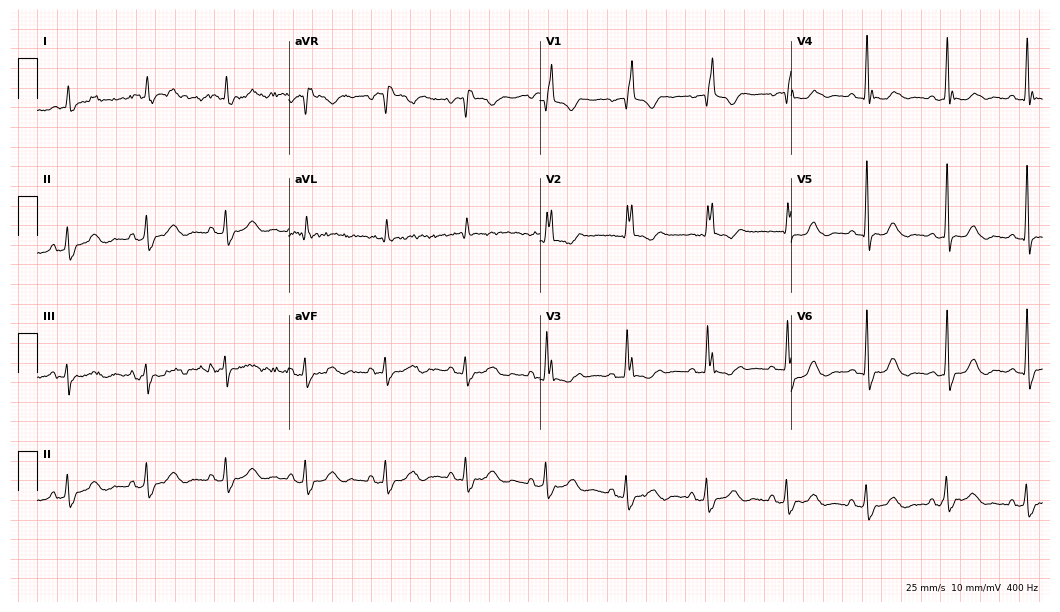
Standard 12-lead ECG recorded from a female, 73 years old (10.2-second recording at 400 Hz). The tracing shows right bundle branch block (RBBB).